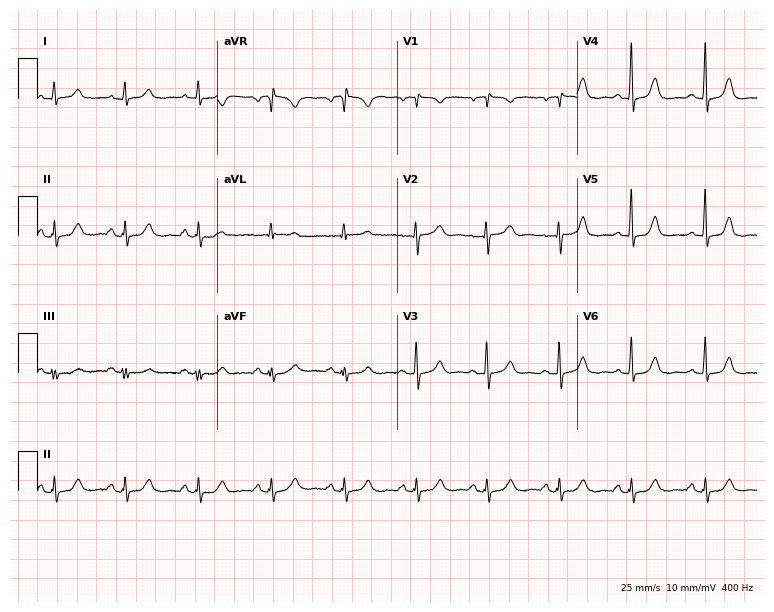
ECG — a female, 62 years old. Labelled as a normal ECG.